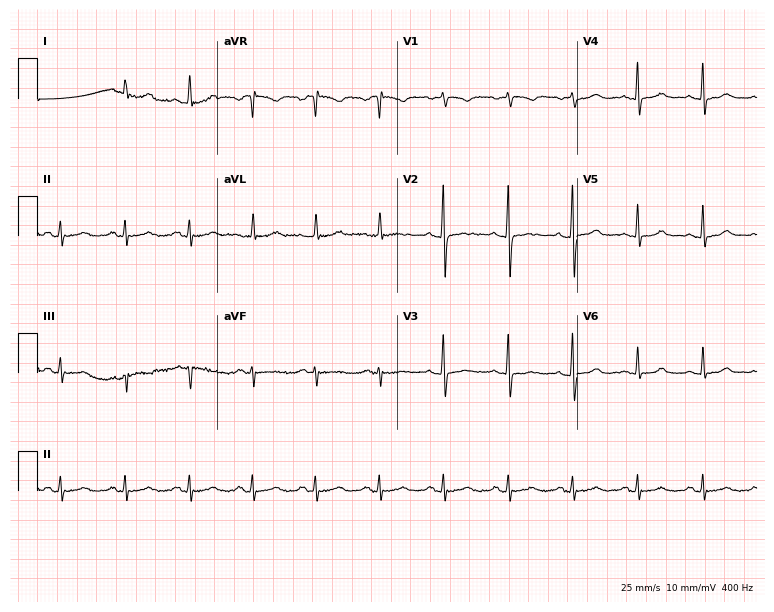
12-lead ECG from a 25-year-old woman. Labelled as a normal ECG.